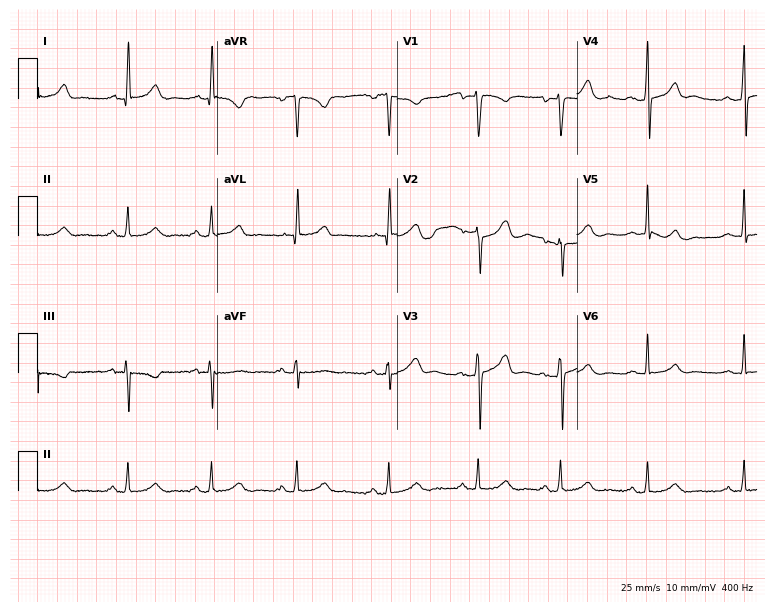
ECG — a 32-year-old woman. Labelled as a normal ECG.